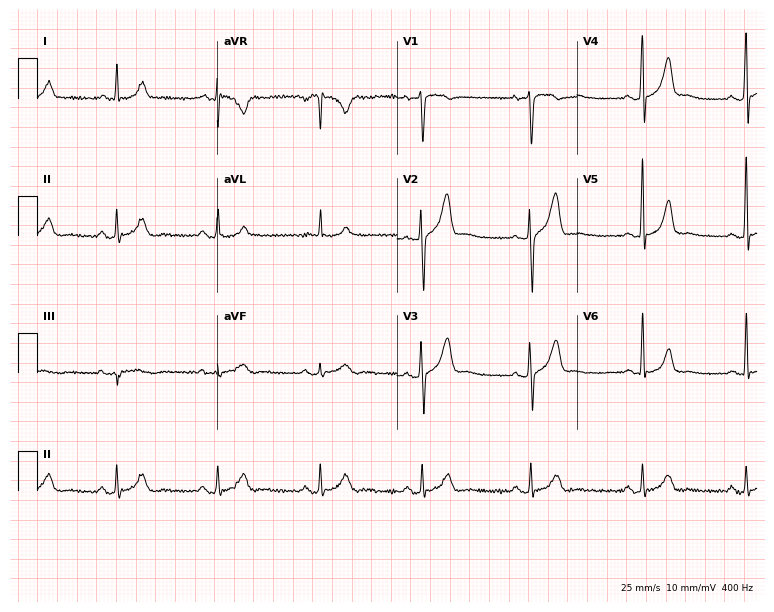
Resting 12-lead electrocardiogram. Patient: a man, 30 years old. Read as a normal ECG.